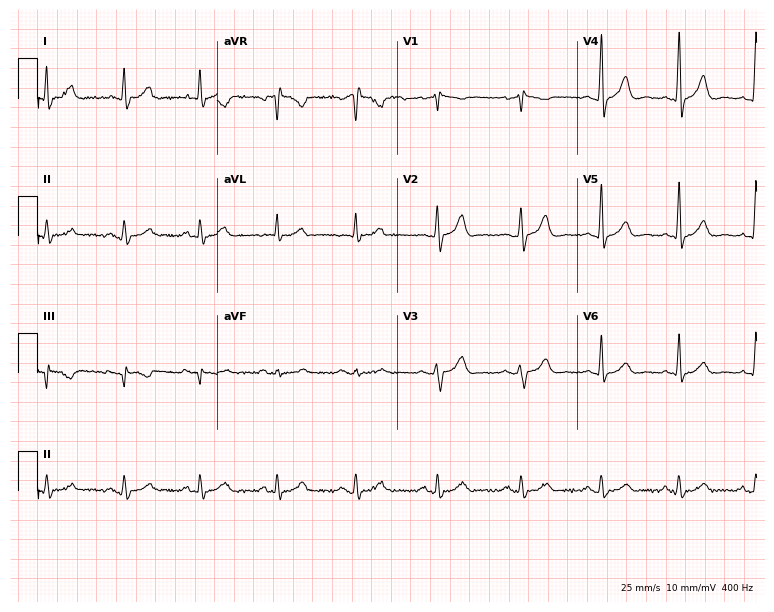
Standard 12-lead ECG recorded from a 45-year-old male patient. Read as a normal ECG.